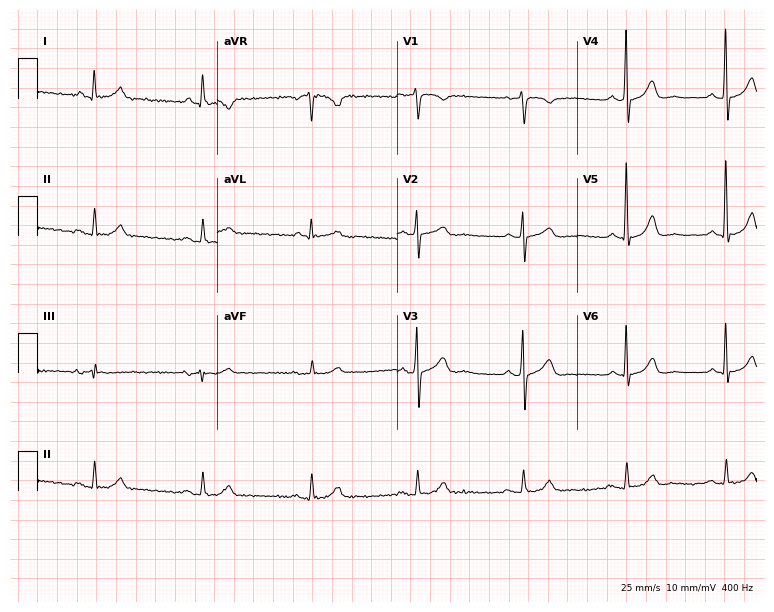
12-lead ECG from a 65-year-old male. Screened for six findings — first-degree AV block, right bundle branch block, left bundle branch block, sinus bradycardia, atrial fibrillation, sinus tachycardia — none is recorded. Only these six findings were labelled.